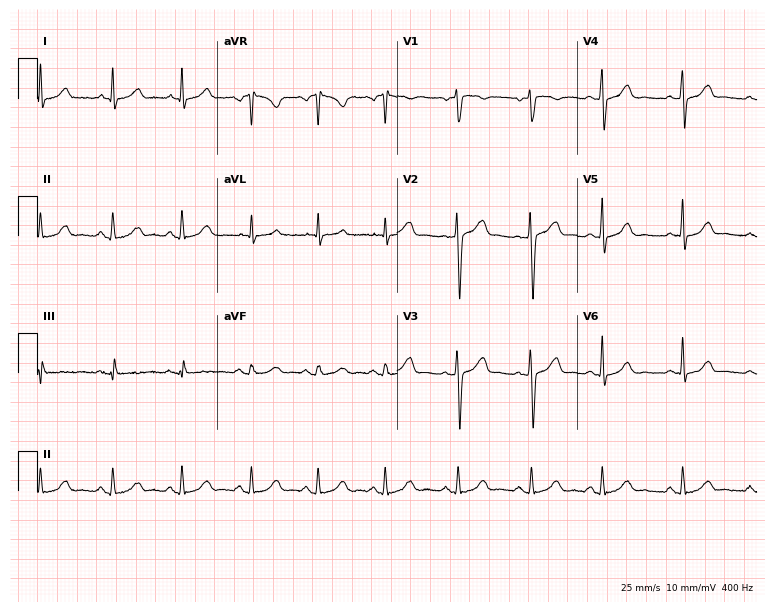
Resting 12-lead electrocardiogram (7.3-second recording at 400 Hz). Patient: a 41-year-old female. None of these six findings is recorded: first-degree AV block, right bundle branch block, left bundle branch block, sinus bradycardia, atrial fibrillation, sinus tachycardia.